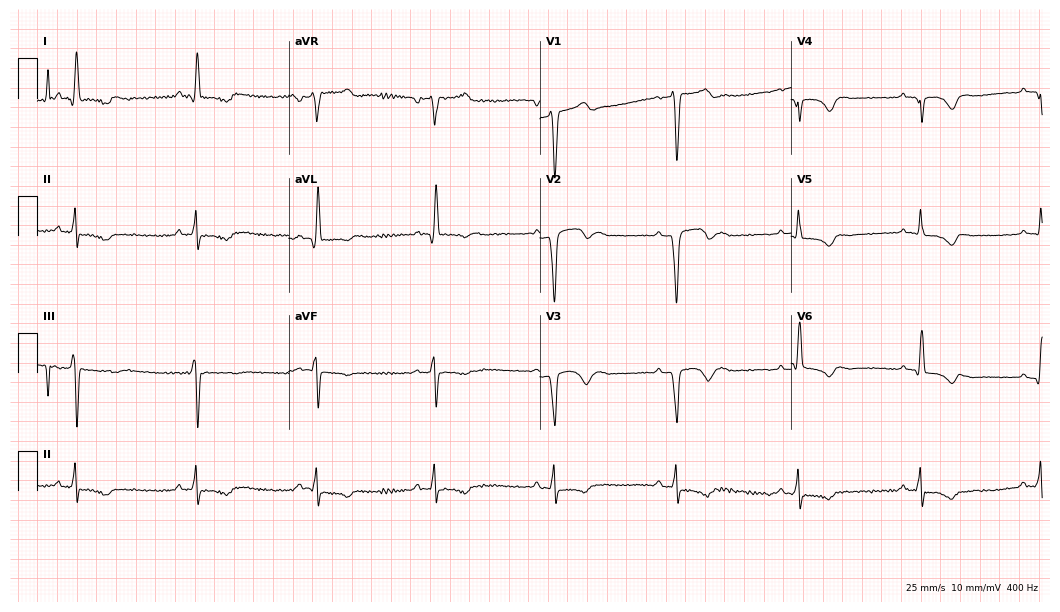
ECG — a man, 64 years old. Screened for six findings — first-degree AV block, right bundle branch block (RBBB), left bundle branch block (LBBB), sinus bradycardia, atrial fibrillation (AF), sinus tachycardia — none is recorded.